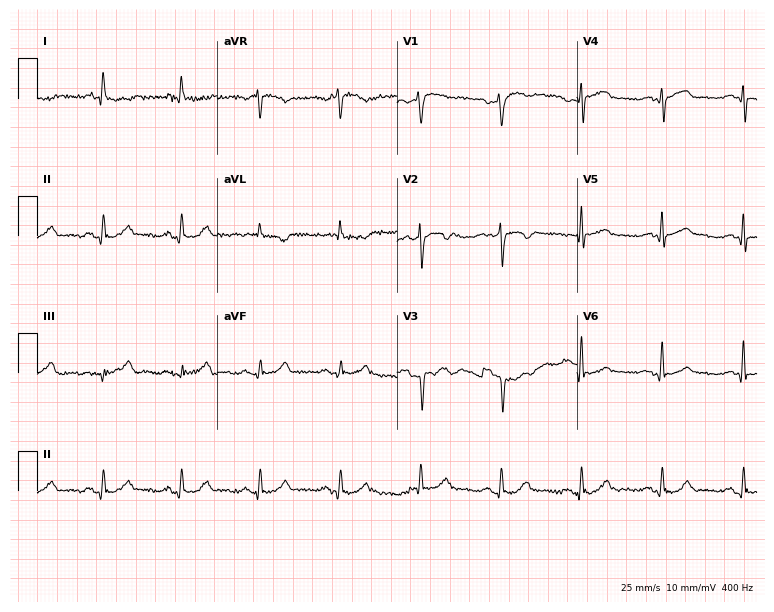
12-lead ECG from a 73-year-old man (7.3-second recording at 400 Hz). Recorded interpretation: within normal limits.